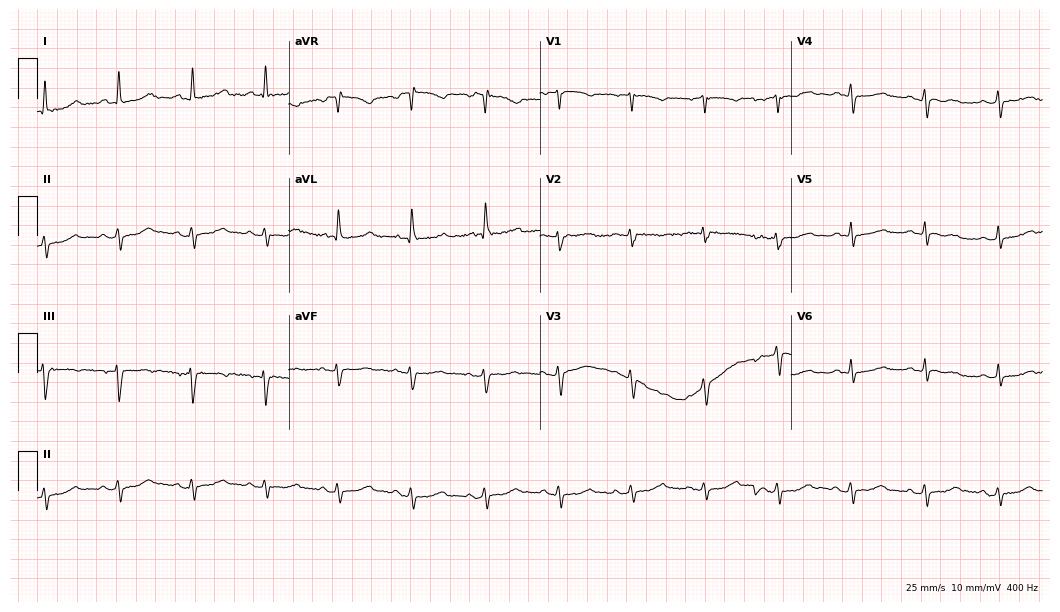
12-lead ECG from a female patient, 77 years old. Screened for six findings — first-degree AV block, right bundle branch block, left bundle branch block, sinus bradycardia, atrial fibrillation, sinus tachycardia — none is recorded.